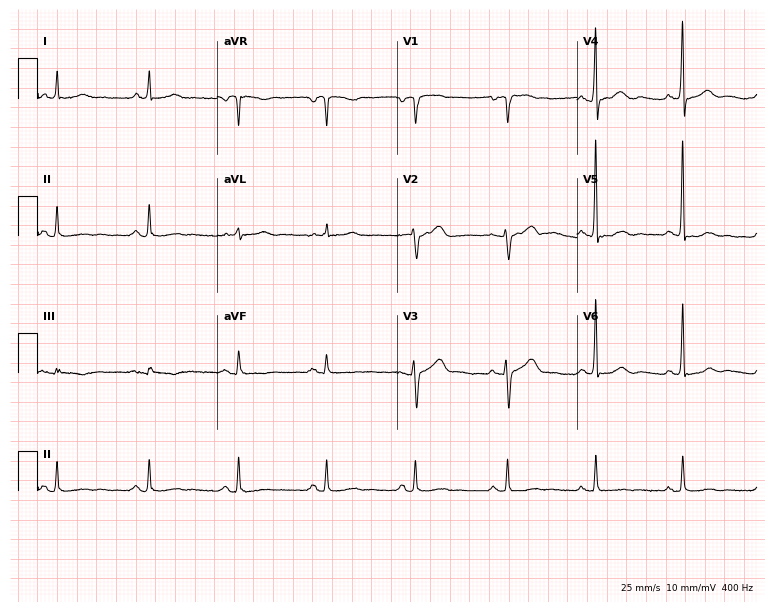
Resting 12-lead electrocardiogram (7.3-second recording at 400 Hz). Patient: a 62-year-old man. None of these six findings is recorded: first-degree AV block, right bundle branch block, left bundle branch block, sinus bradycardia, atrial fibrillation, sinus tachycardia.